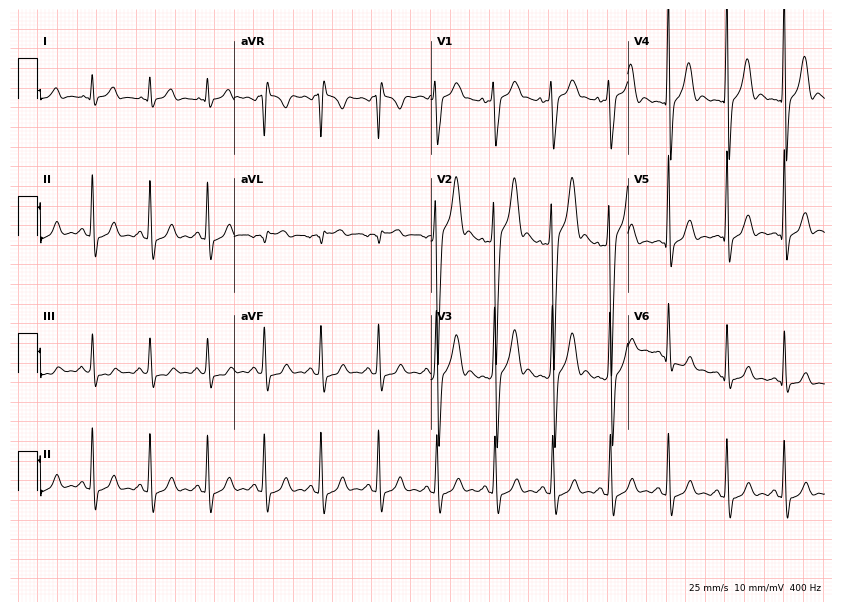
Standard 12-lead ECG recorded from a 20-year-old male (8-second recording at 400 Hz). None of these six findings is recorded: first-degree AV block, right bundle branch block, left bundle branch block, sinus bradycardia, atrial fibrillation, sinus tachycardia.